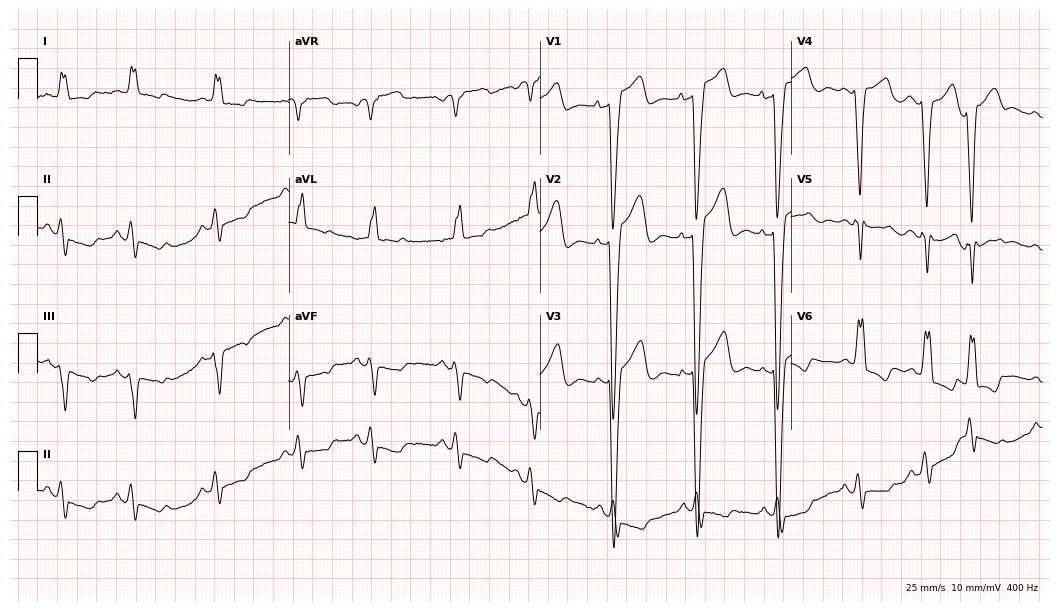
Electrocardiogram (10.2-second recording at 400 Hz), a 75-year-old woman. Interpretation includes left bundle branch block (LBBB).